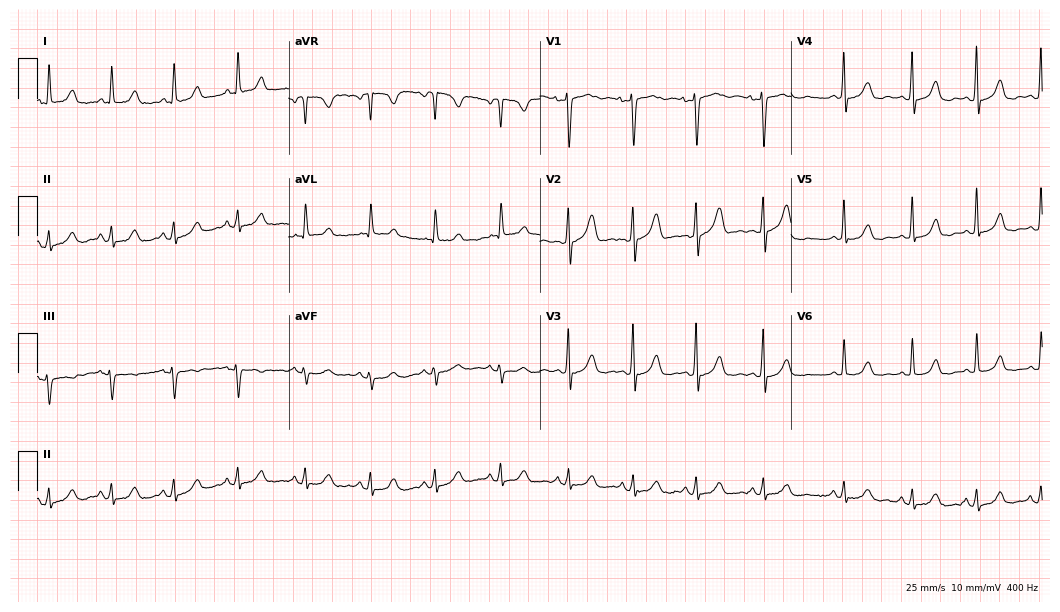
12-lead ECG (10.2-second recording at 400 Hz) from a 47-year-old female. Labelled as a normal ECG.